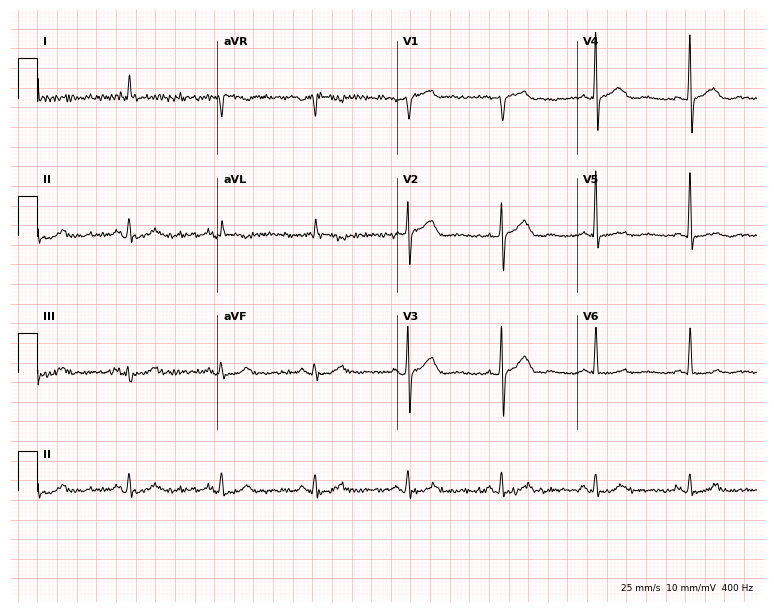
Standard 12-lead ECG recorded from a man, 83 years old (7.3-second recording at 400 Hz). None of these six findings is recorded: first-degree AV block, right bundle branch block, left bundle branch block, sinus bradycardia, atrial fibrillation, sinus tachycardia. Other findings, if any, are not listed.